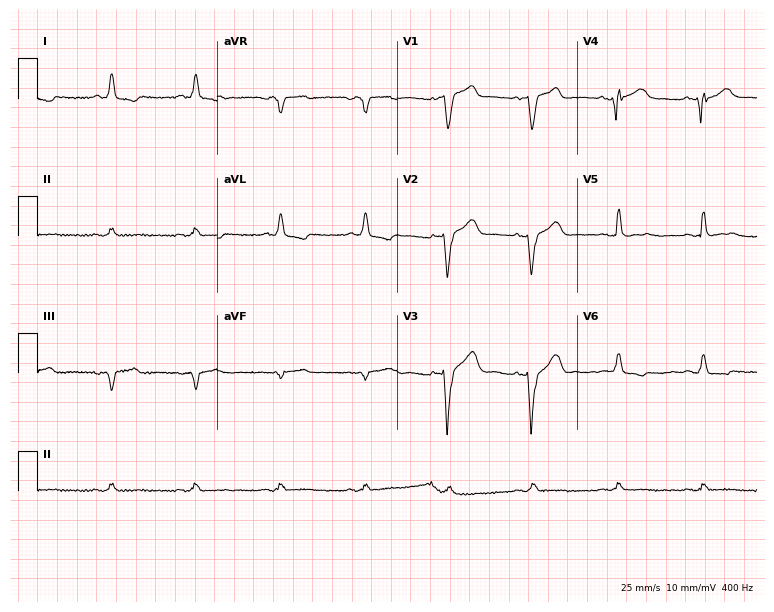
12-lead ECG from a 75-year-old male patient (7.3-second recording at 400 Hz). No first-degree AV block, right bundle branch block, left bundle branch block, sinus bradycardia, atrial fibrillation or sinus tachycardia recorded for this tracing.